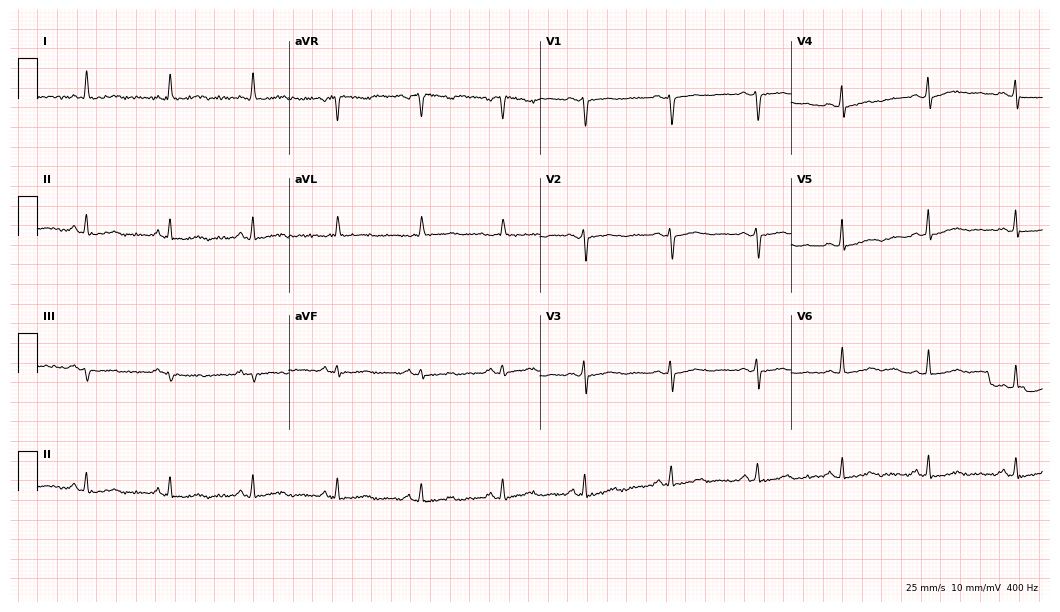
ECG — a 63-year-old female patient. Screened for six findings — first-degree AV block, right bundle branch block, left bundle branch block, sinus bradycardia, atrial fibrillation, sinus tachycardia — none is recorded.